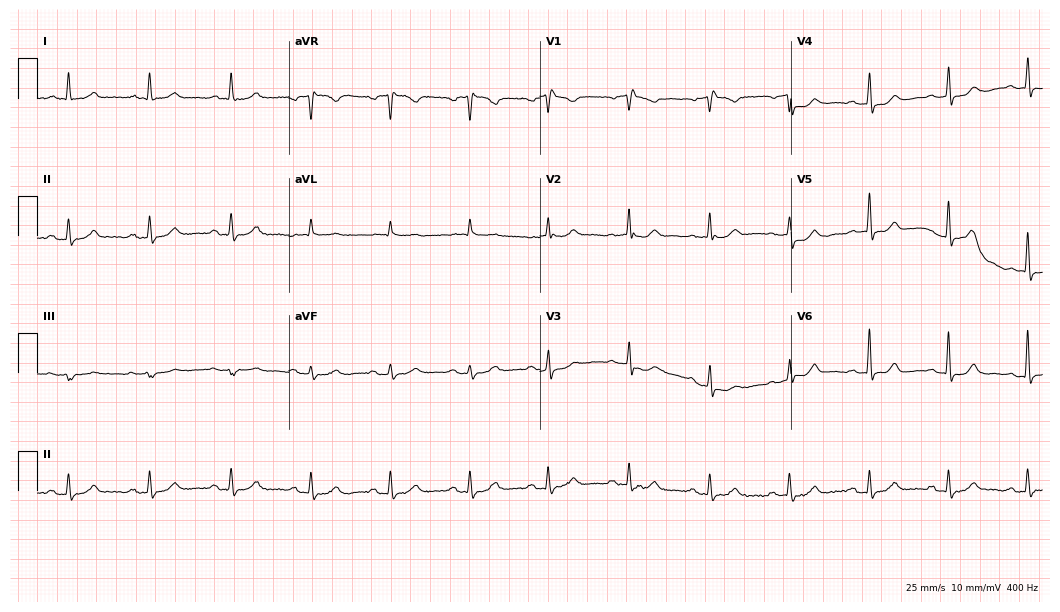
Resting 12-lead electrocardiogram. Patient: an 81-year-old female. Read as a normal ECG.